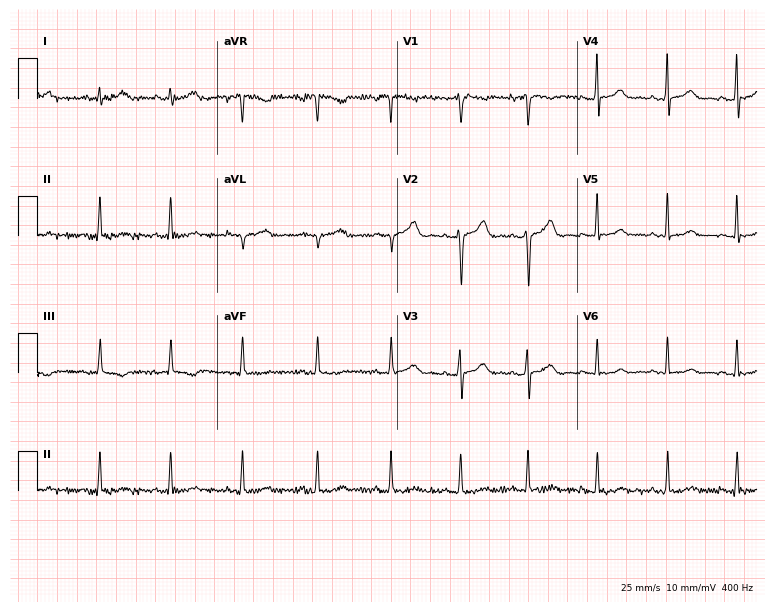
ECG — a woman, 27 years old. Screened for six findings — first-degree AV block, right bundle branch block, left bundle branch block, sinus bradycardia, atrial fibrillation, sinus tachycardia — none is recorded. Only these six findings were labelled.